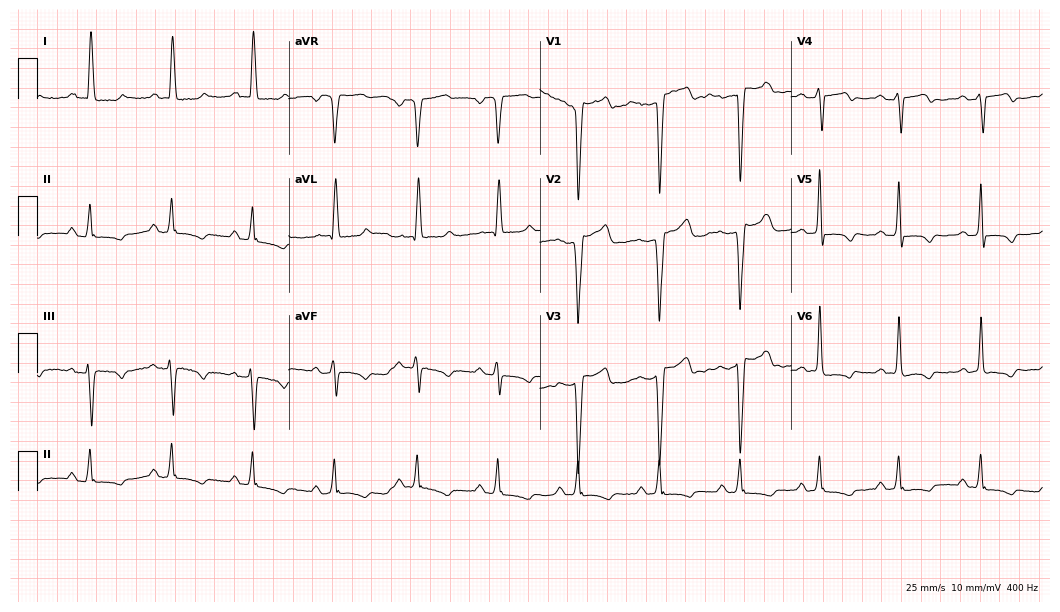
Electrocardiogram, a 57-year-old female. Of the six screened findings (first-degree AV block, right bundle branch block (RBBB), left bundle branch block (LBBB), sinus bradycardia, atrial fibrillation (AF), sinus tachycardia), none is recorded. Other findings, if any, are not listed.